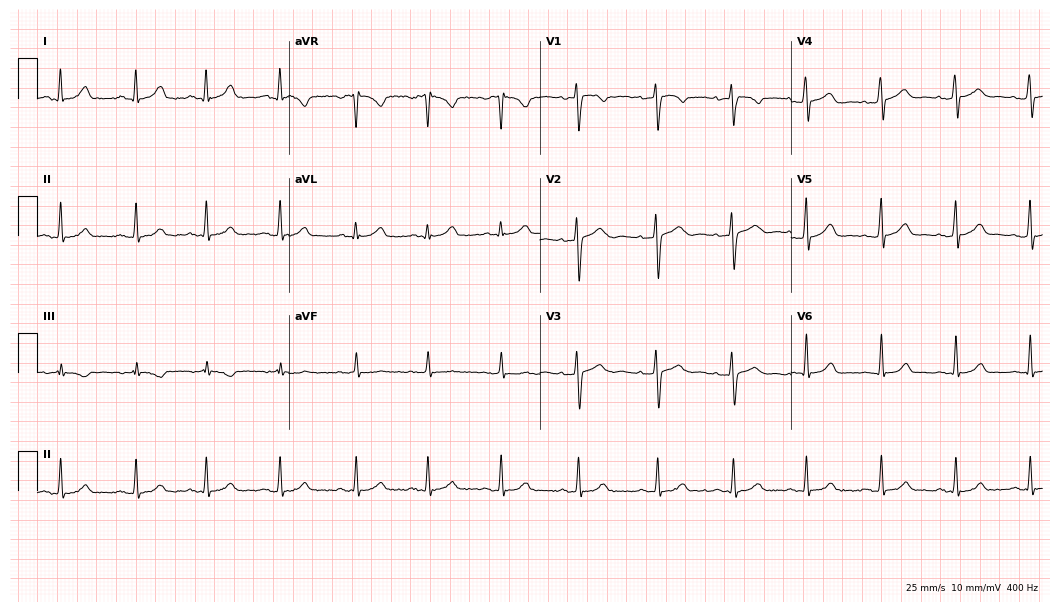
12-lead ECG (10.2-second recording at 400 Hz) from a 25-year-old woman. Labelled as a normal ECG.